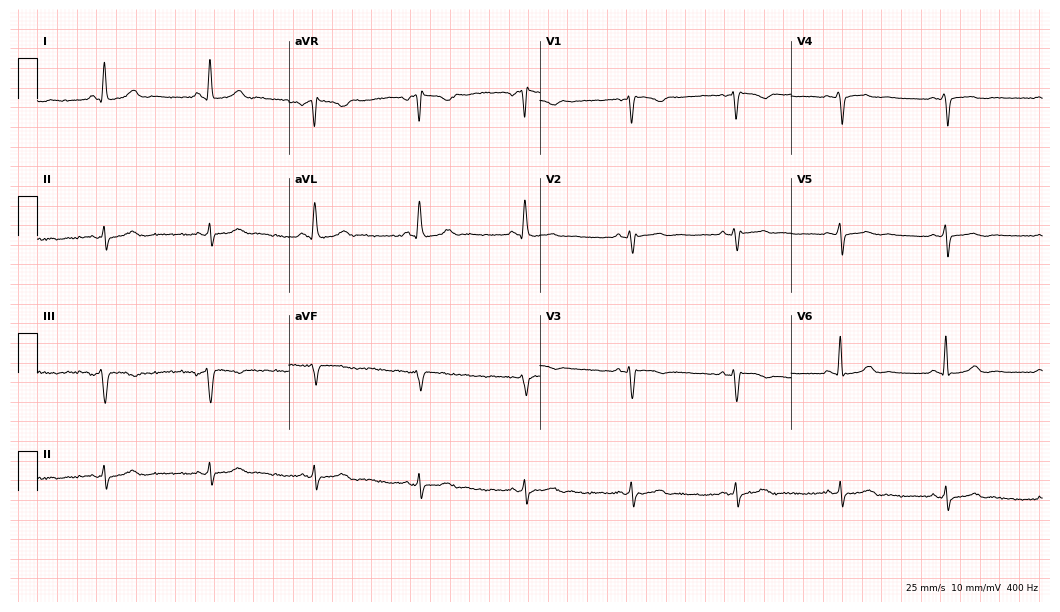
Standard 12-lead ECG recorded from a 56-year-old woman (10.2-second recording at 400 Hz). None of these six findings is recorded: first-degree AV block, right bundle branch block, left bundle branch block, sinus bradycardia, atrial fibrillation, sinus tachycardia.